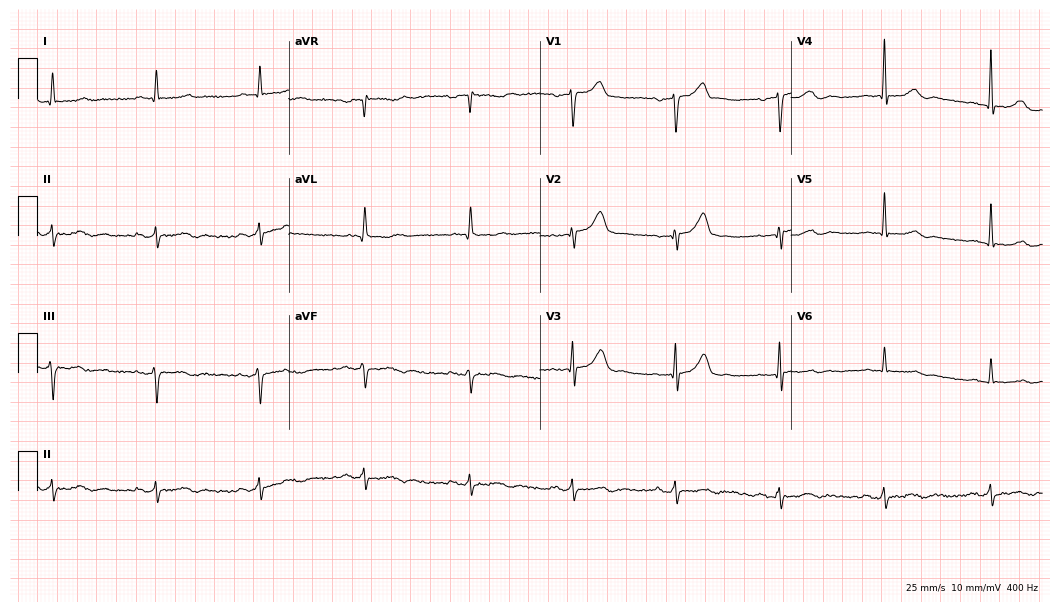
Electrocardiogram (10.2-second recording at 400 Hz), a man, 80 years old. Overall reading on record: normal ECG.